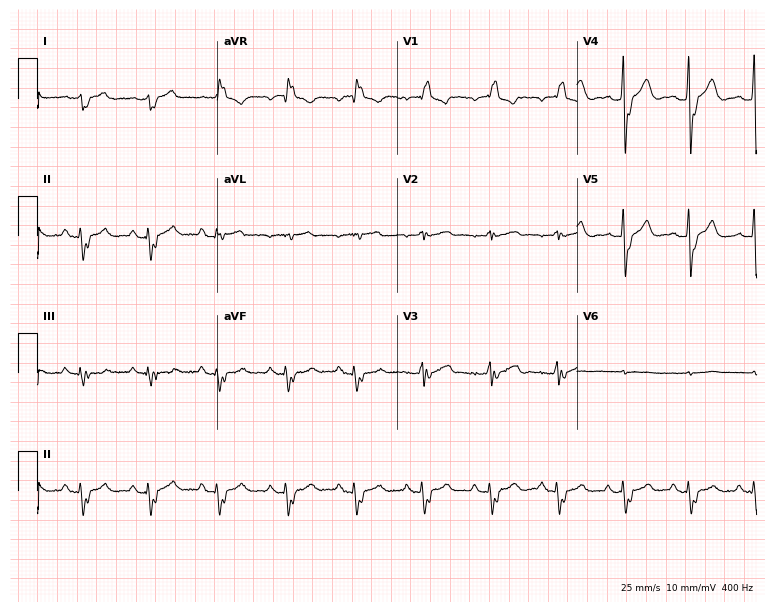
Standard 12-lead ECG recorded from a male, 48 years old. The tracing shows right bundle branch block.